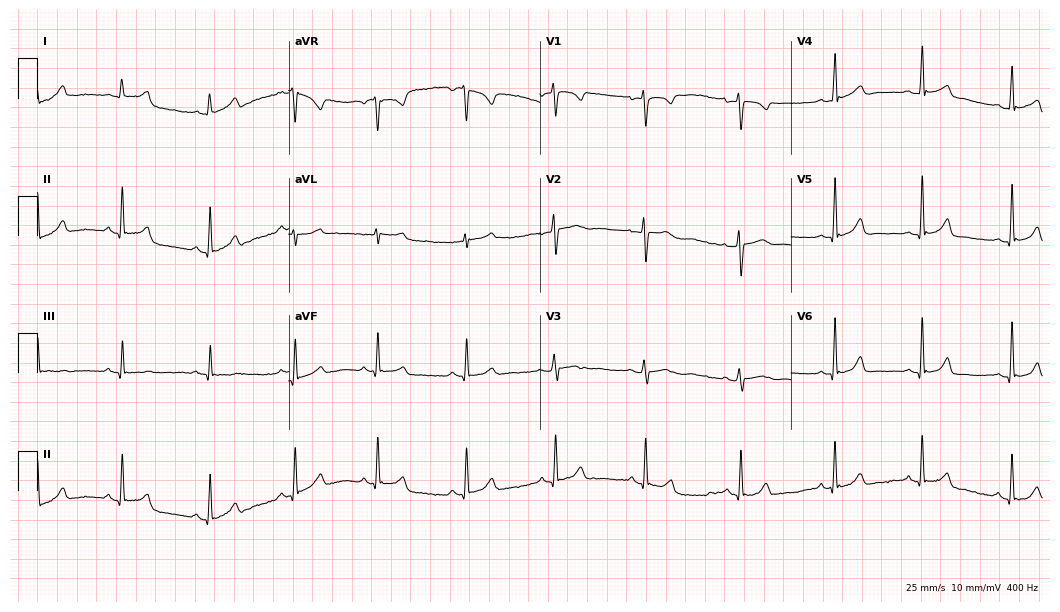
Electrocardiogram, a female patient, 28 years old. Overall reading on record: normal ECG.